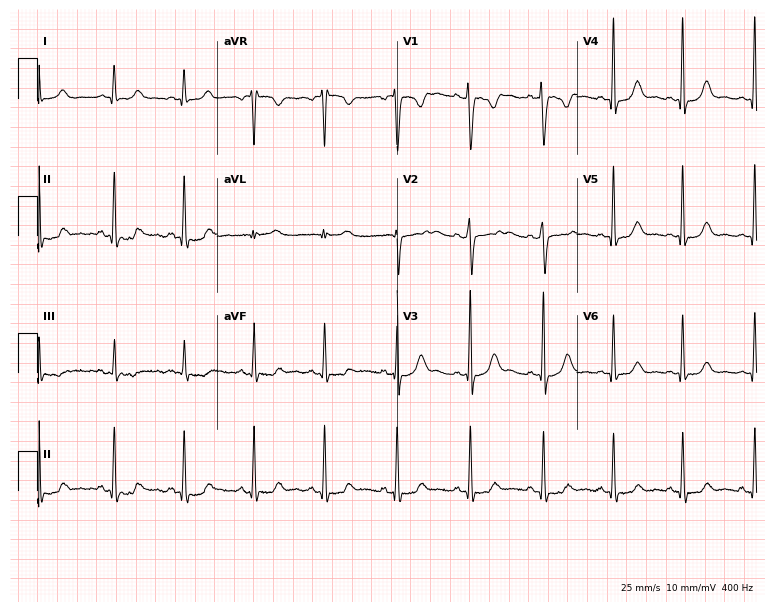
12-lead ECG from a 29-year-old woman. Labelled as a normal ECG.